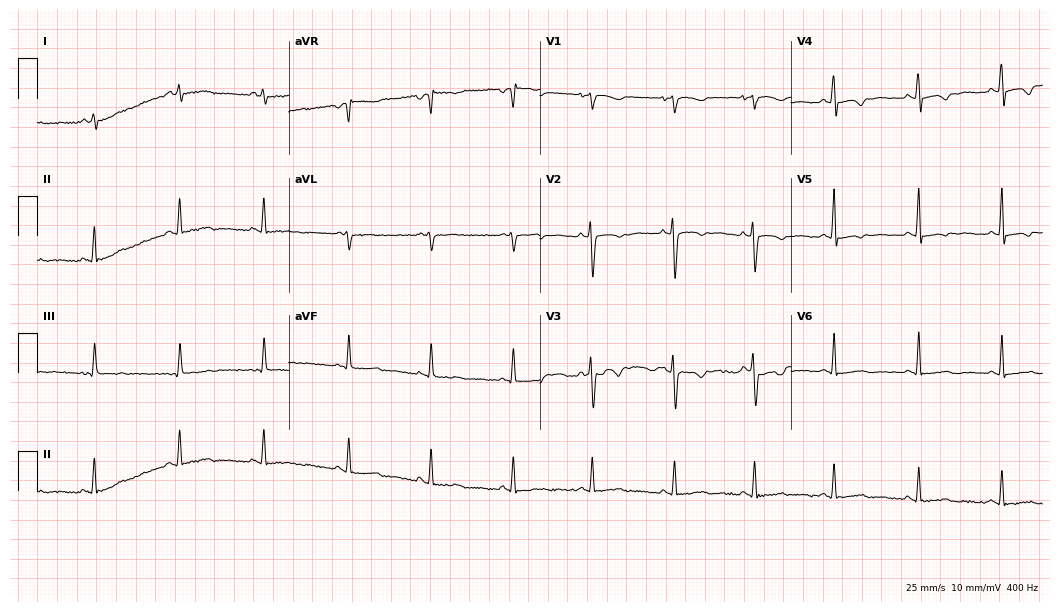
12-lead ECG from a woman, 31 years old. No first-degree AV block, right bundle branch block (RBBB), left bundle branch block (LBBB), sinus bradycardia, atrial fibrillation (AF) or sinus tachycardia recorded for this tracing.